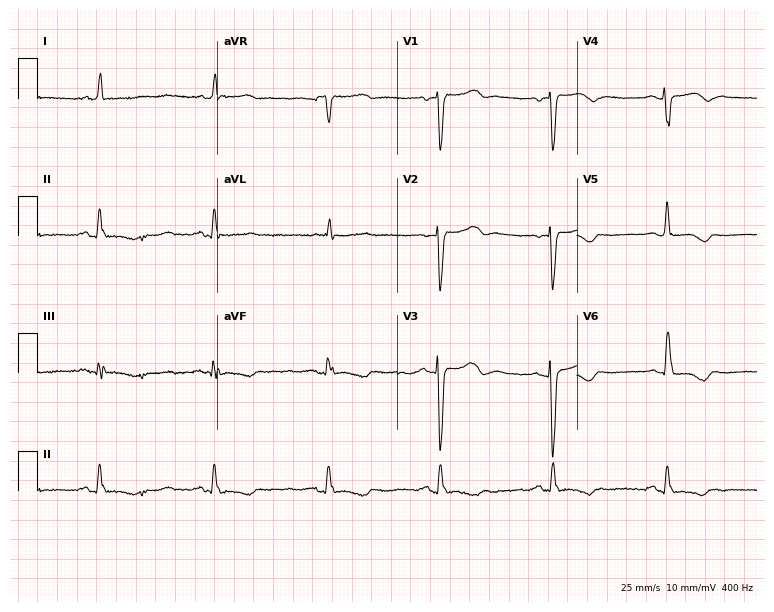
Standard 12-lead ECG recorded from a woman, 43 years old. None of these six findings is recorded: first-degree AV block, right bundle branch block (RBBB), left bundle branch block (LBBB), sinus bradycardia, atrial fibrillation (AF), sinus tachycardia.